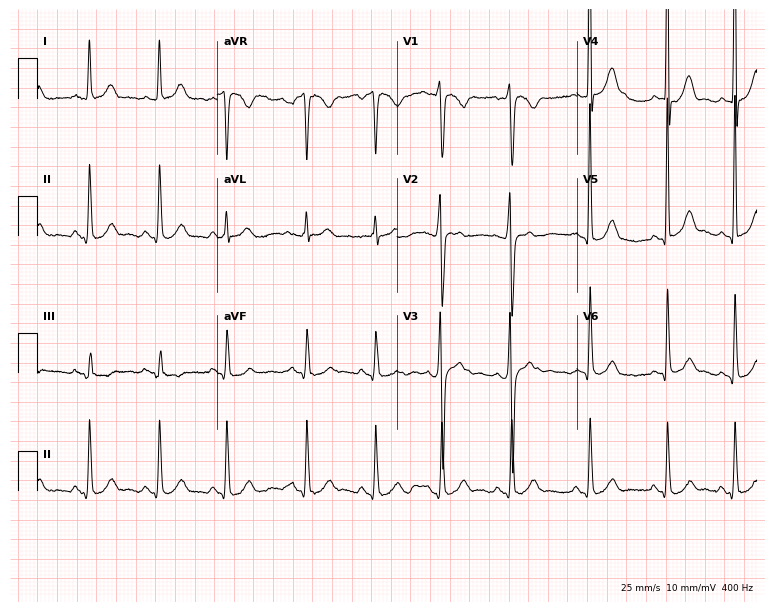
12-lead ECG from a male patient, 22 years old (7.3-second recording at 400 Hz). No first-degree AV block, right bundle branch block, left bundle branch block, sinus bradycardia, atrial fibrillation or sinus tachycardia recorded for this tracing. Only these six findings were labelled.